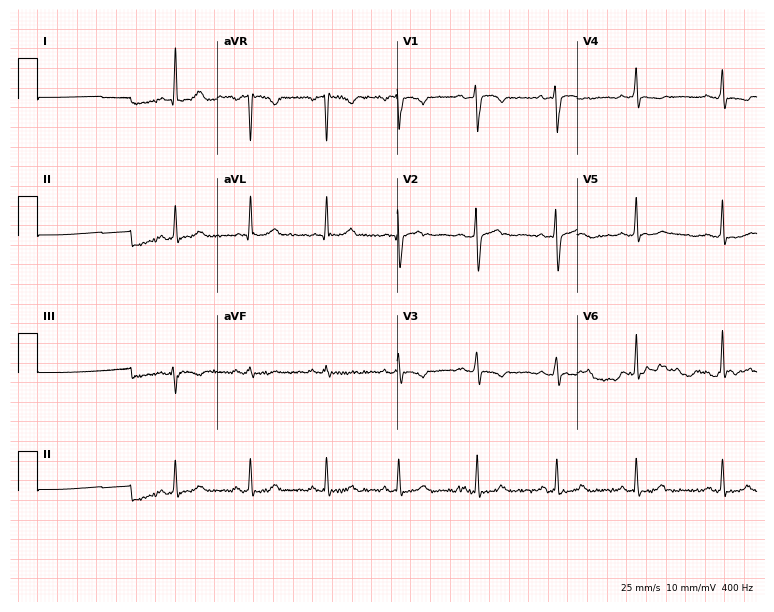
Electrocardiogram, a 37-year-old female. Of the six screened findings (first-degree AV block, right bundle branch block, left bundle branch block, sinus bradycardia, atrial fibrillation, sinus tachycardia), none is recorded. Findings outside these six are not listed.